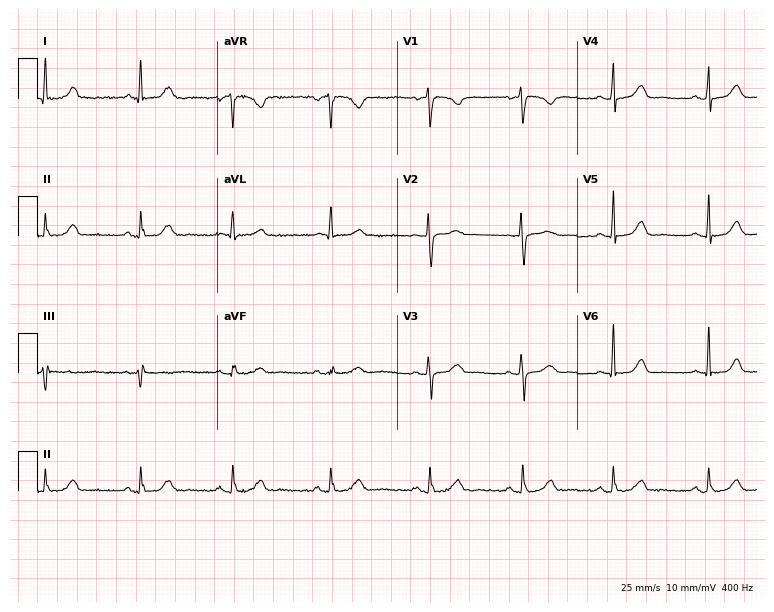
Electrocardiogram, a female, 55 years old. Overall reading on record: normal ECG.